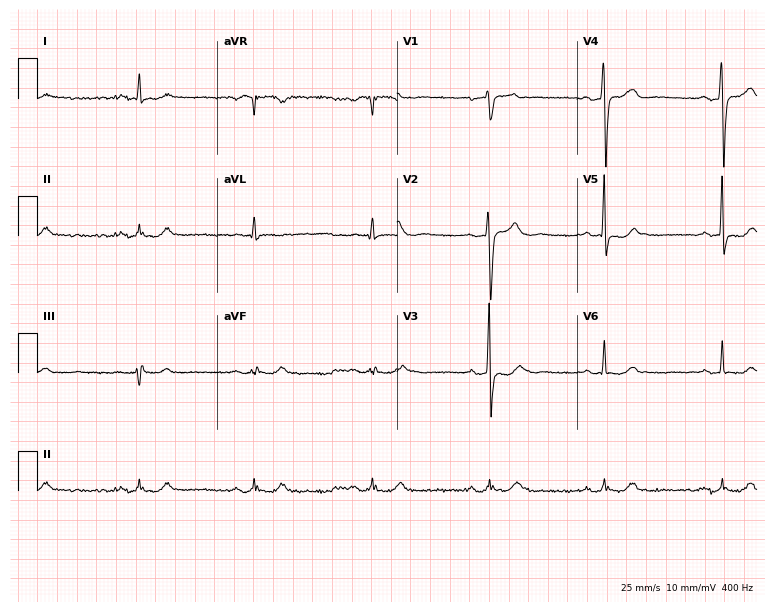
Resting 12-lead electrocardiogram (7.3-second recording at 400 Hz). Patient: a man, 67 years old. Read as a normal ECG.